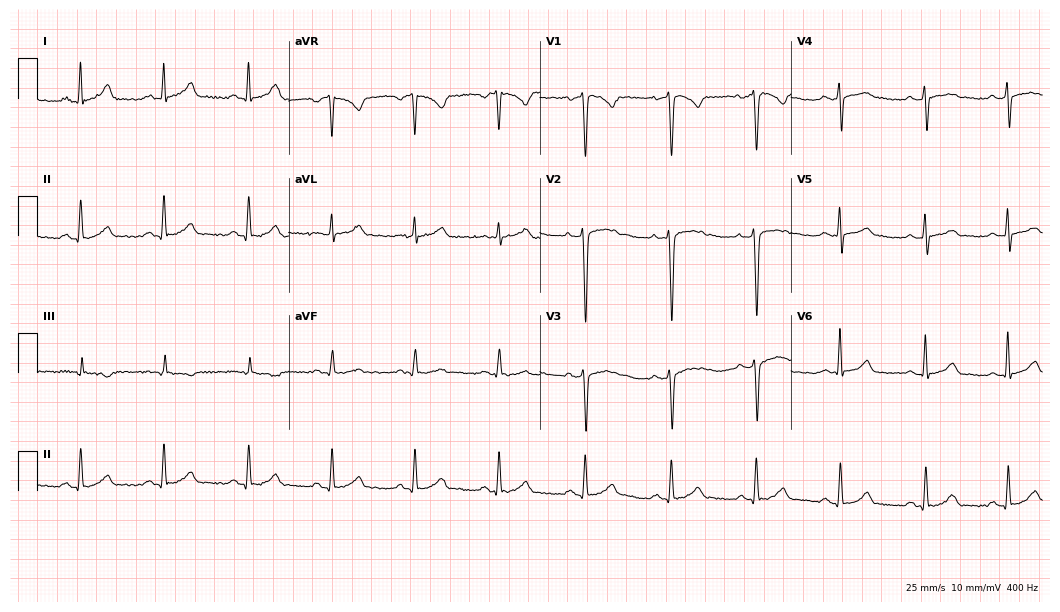
Standard 12-lead ECG recorded from a male patient, 31 years old (10.2-second recording at 400 Hz). Read as a normal ECG.